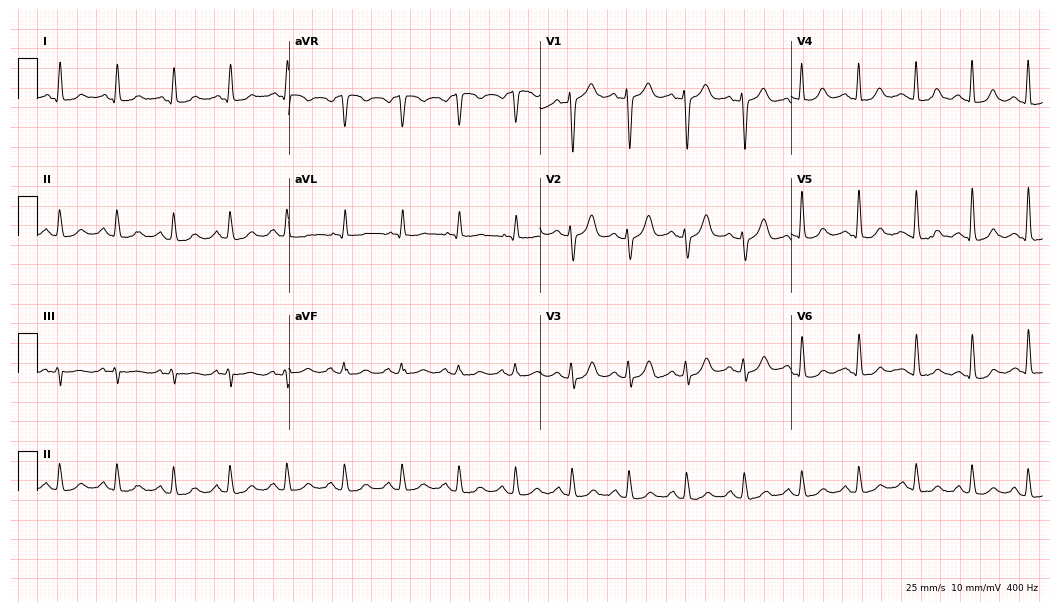
Resting 12-lead electrocardiogram. Patient: a female, 52 years old. None of these six findings is recorded: first-degree AV block, right bundle branch block, left bundle branch block, sinus bradycardia, atrial fibrillation, sinus tachycardia. Other findings, if any, are not listed.